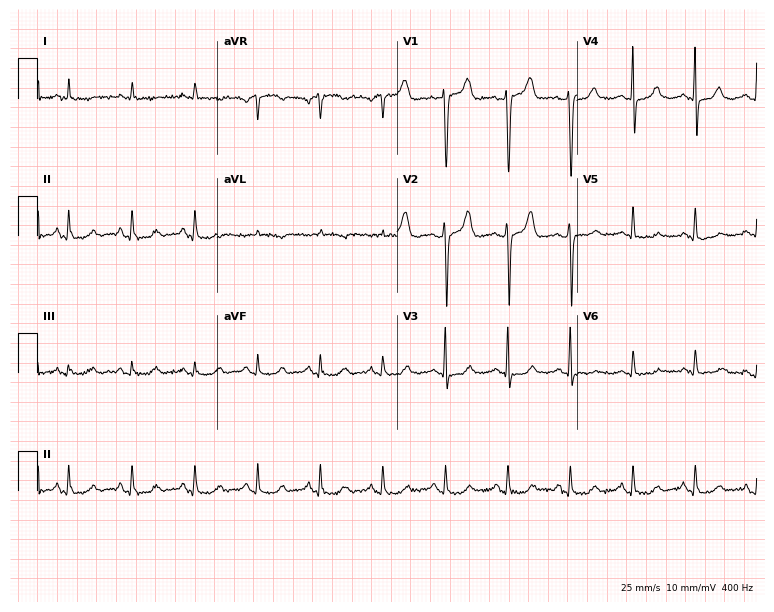
Standard 12-lead ECG recorded from a 78-year-old female patient (7.3-second recording at 400 Hz). None of these six findings is recorded: first-degree AV block, right bundle branch block, left bundle branch block, sinus bradycardia, atrial fibrillation, sinus tachycardia.